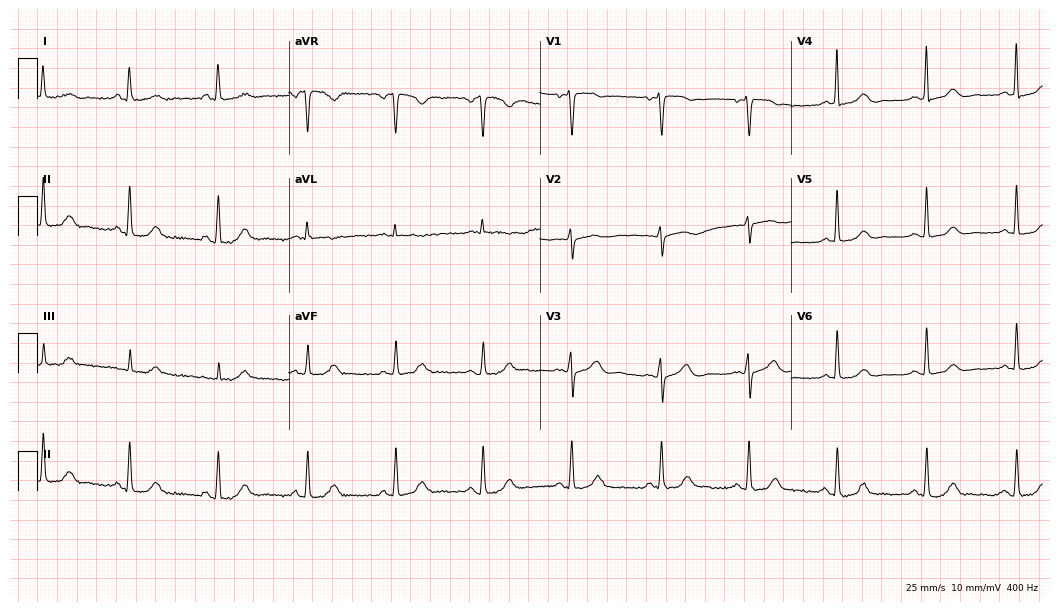
12-lead ECG from a 63-year-old female patient. Screened for six findings — first-degree AV block, right bundle branch block (RBBB), left bundle branch block (LBBB), sinus bradycardia, atrial fibrillation (AF), sinus tachycardia — none is recorded. Other findings, if any, are not listed.